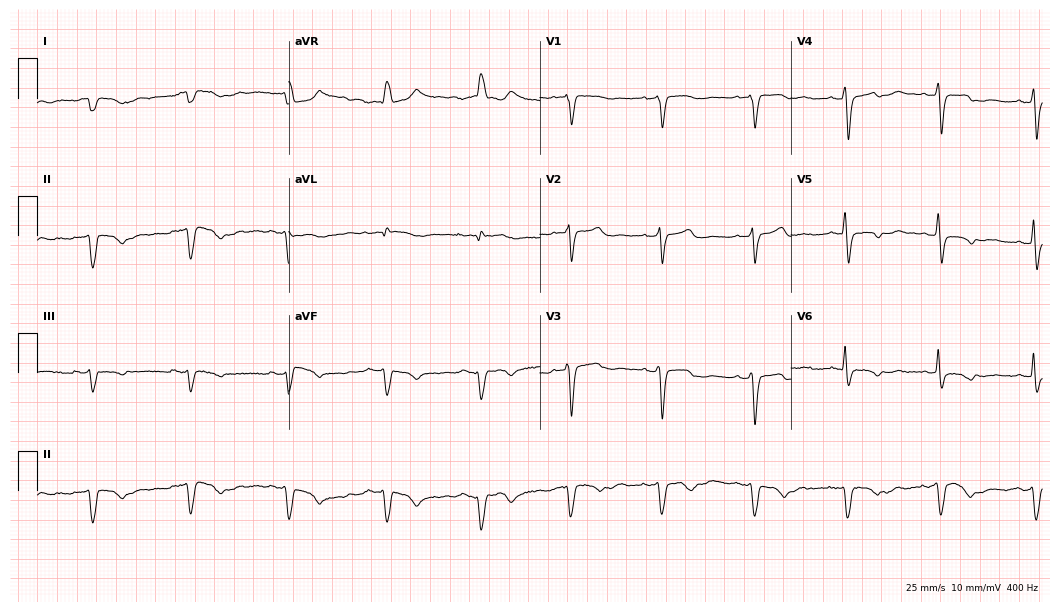
Resting 12-lead electrocardiogram. Patient: a man, 72 years old. None of these six findings is recorded: first-degree AV block, right bundle branch block, left bundle branch block, sinus bradycardia, atrial fibrillation, sinus tachycardia.